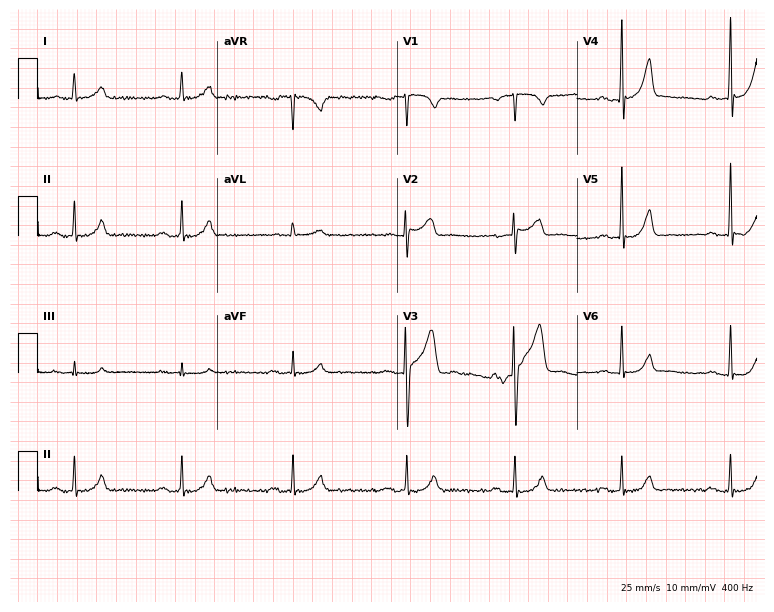
Electrocardiogram, a male patient, 52 years old. Of the six screened findings (first-degree AV block, right bundle branch block, left bundle branch block, sinus bradycardia, atrial fibrillation, sinus tachycardia), none is recorded. Only these six findings were labelled.